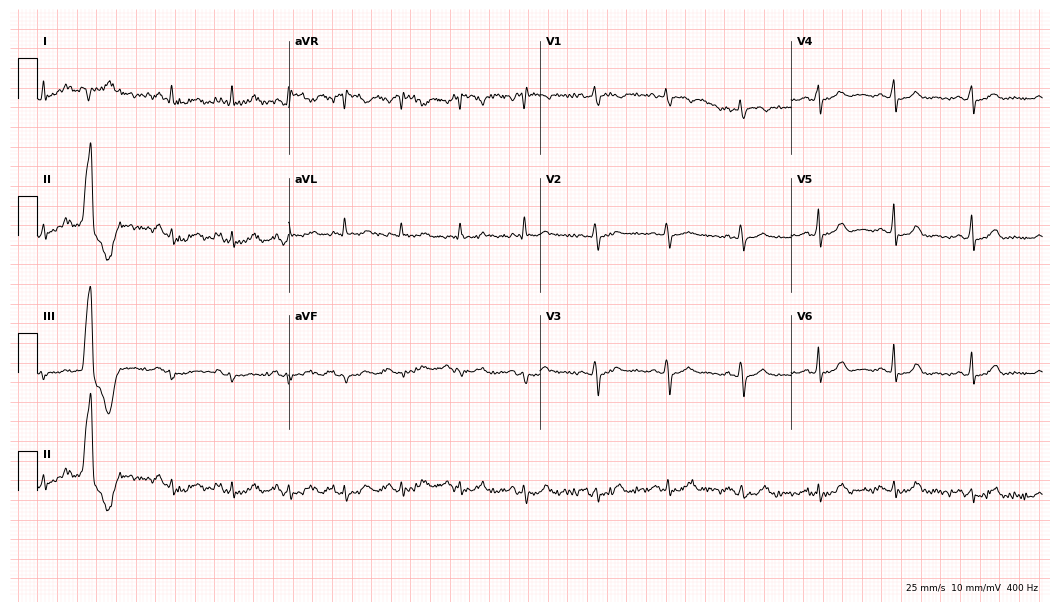
12-lead ECG from a woman, 49 years old (10.2-second recording at 400 Hz). No first-degree AV block, right bundle branch block (RBBB), left bundle branch block (LBBB), sinus bradycardia, atrial fibrillation (AF) or sinus tachycardia recorded for this tracing. Only these six findings were labelled.